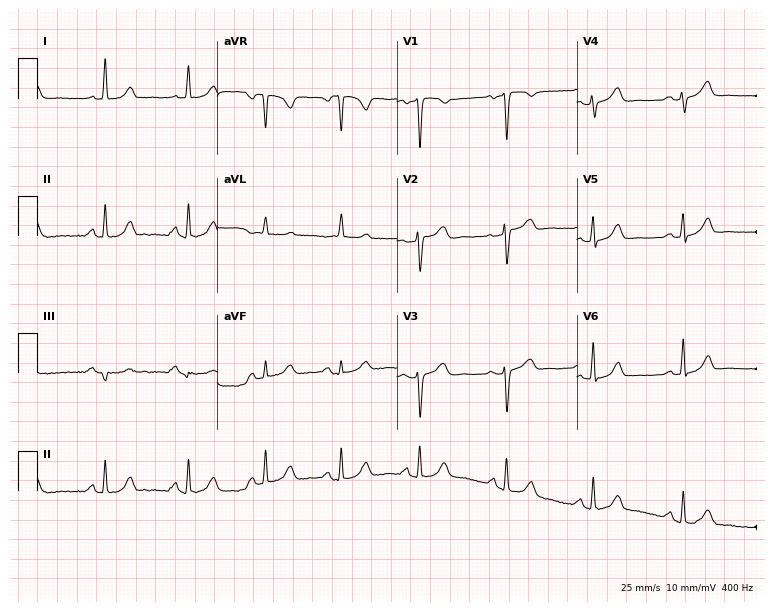
Standard 12-lead ECG recorded from a female patient, 44 years old (7.3-second recording at 400 Hz). None of these six findings is recorded: first-degree AV block, right bundle branch block, left bundle branch block, sinus bradycardia, atrial fibrillation, sinus tachycardia. Other findings, if any, are not listed.